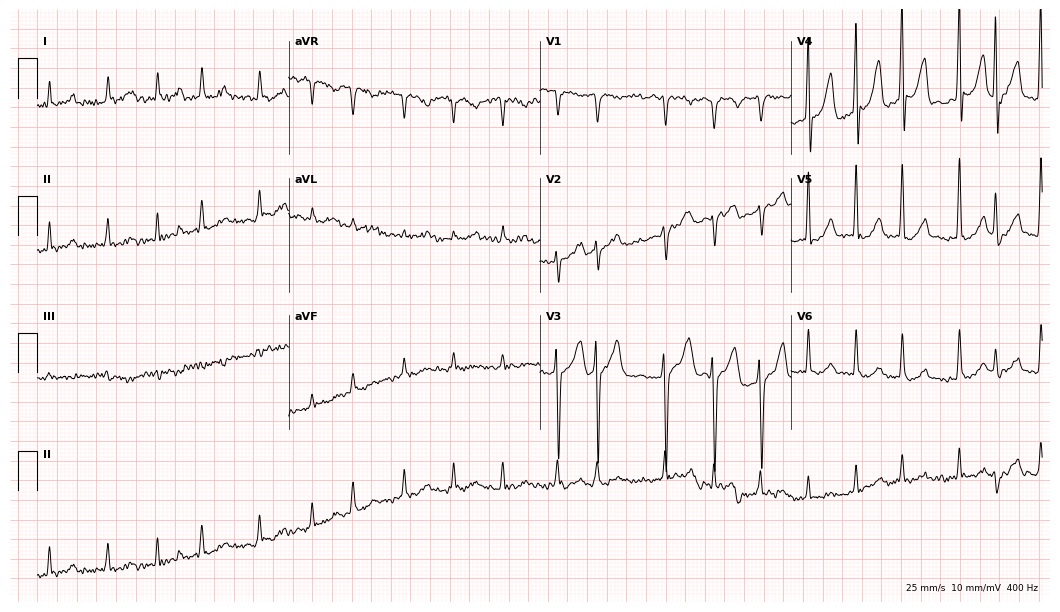
12-lead ECG from a 49-year-old male (10.2-second recording at 400 Hz). Shows atrial fibrillation (AF).